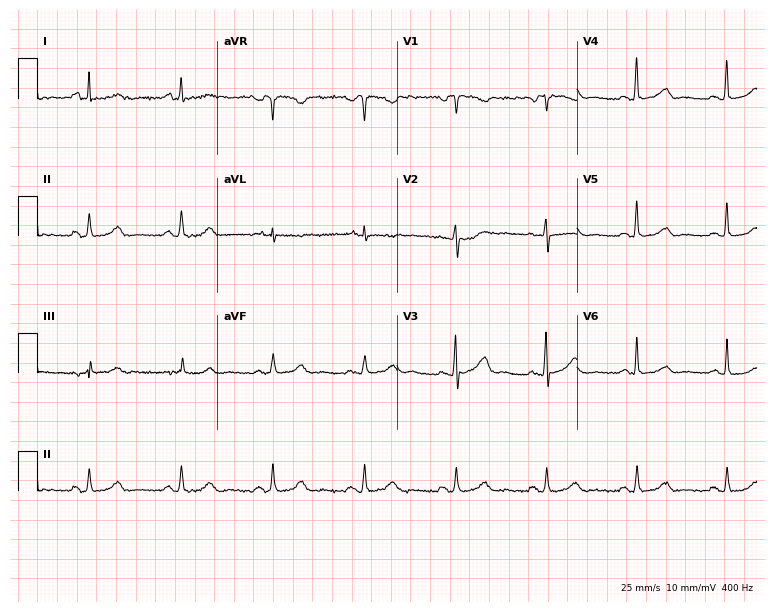
12-lead ECG (7.3-second recording at 400 Hz) from a woman, 51 years old. Labelled as a normal ECG.